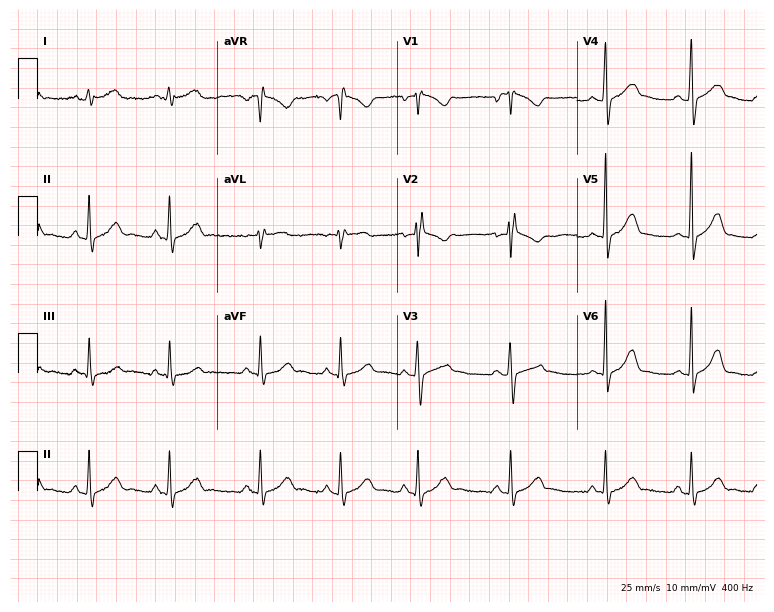
Electrocardiogram, a female, 26 years old. Overall reading on record: normal ECG.